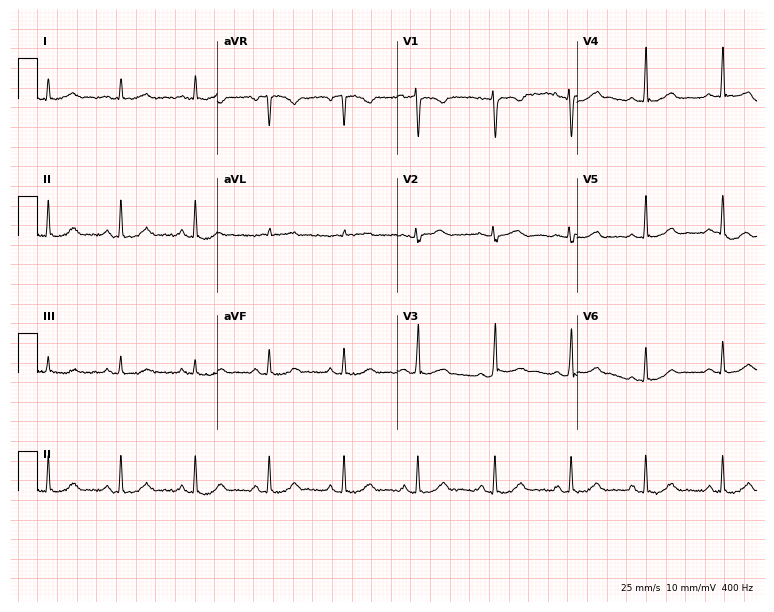
Standard 12-lead ECG recorded from a 38-year-old female patient. None of these six findings is recorded: first-degree AV block, right bundle branch block (RBBB), left bundle branch block (LBBB), sinus bradycardia, atrial fibrillation (AF), sinus tachycardia.